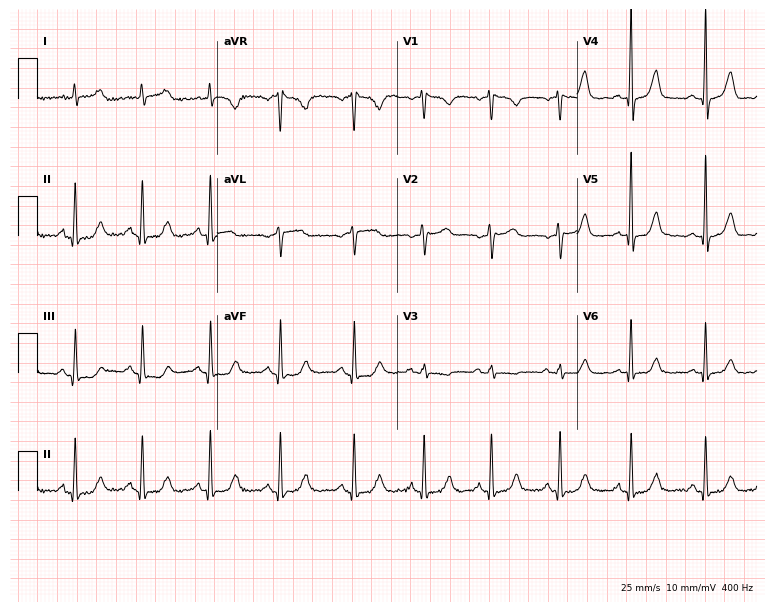
ECG — a 44-year-old female patient. Labelled as a normal ECG.